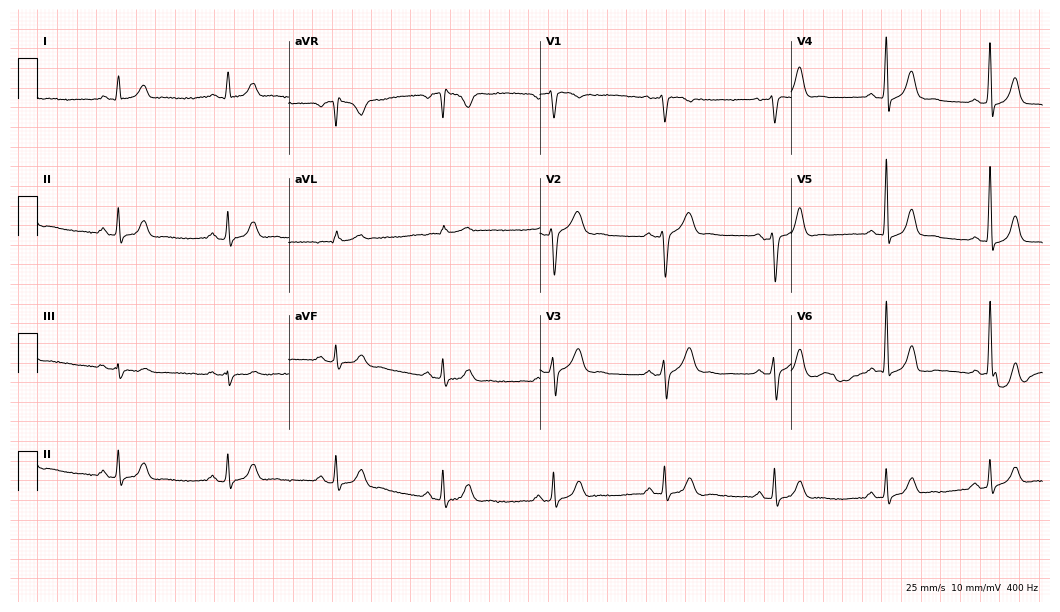
Electrocardiogram (10.2-second recording at 400 Hz), a male, 41 years old. Overall reading on record: normal ECG.